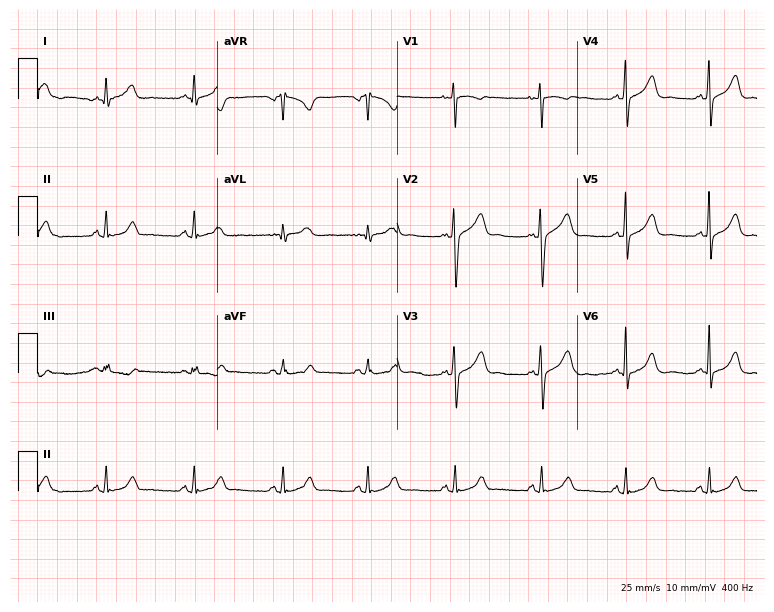
ECG (7.3-second recording at 400 Hz) — a woman, 37 years old. Screened for six findings — first-degree AV block, right bundle branch block, left bundle branch block, sinus bradycardia, atrial fibrillation, sinus tachycardia — none is recorded. Other findings, if any, are not listed.